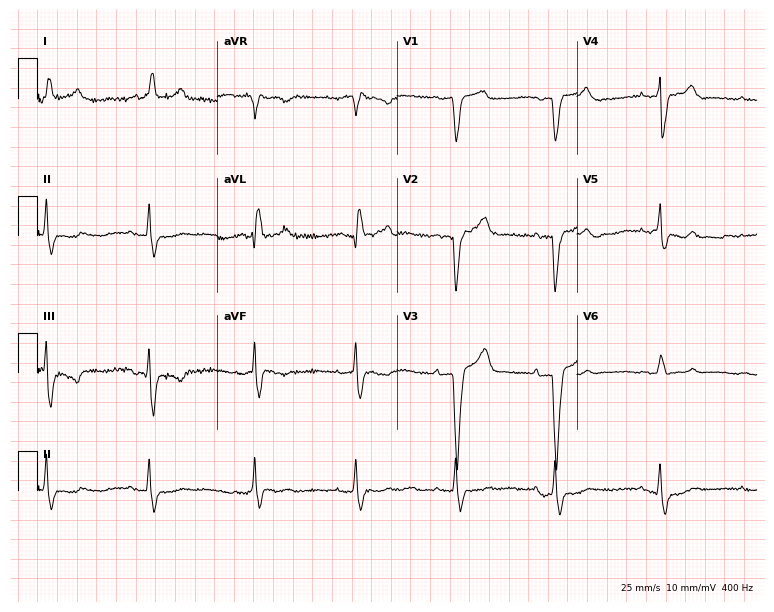
ECG (7.3-second recording at 400 Hz) — a male, 70 years old. Screened for six findings — first-degree AV block, right bundle branch block, left bundle branch block, sinus bradycardia, atrial fibrillation, sinus tachycardia — none is recorded. Other findings, if any, are not listed.